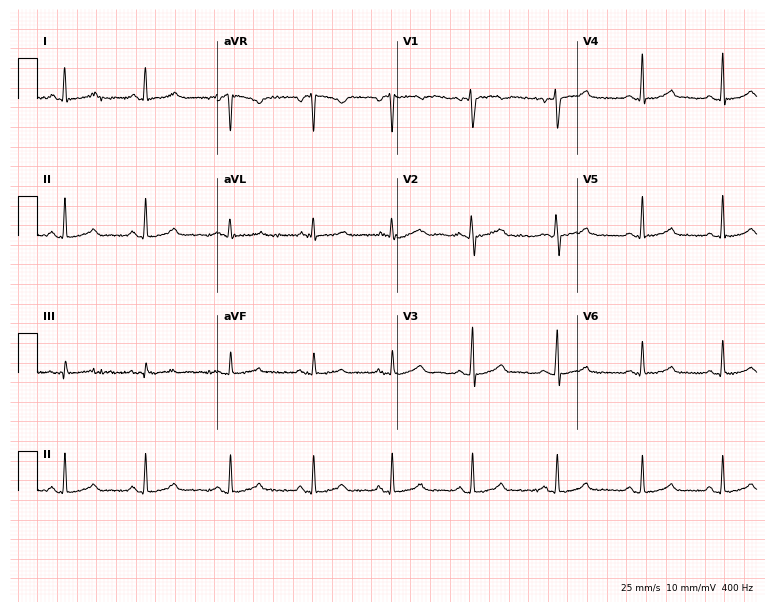
Electrocardiogram (7.3-second recording at 400 Hz), a 17-year-old female patient. Overall reading on record: normal ECG.